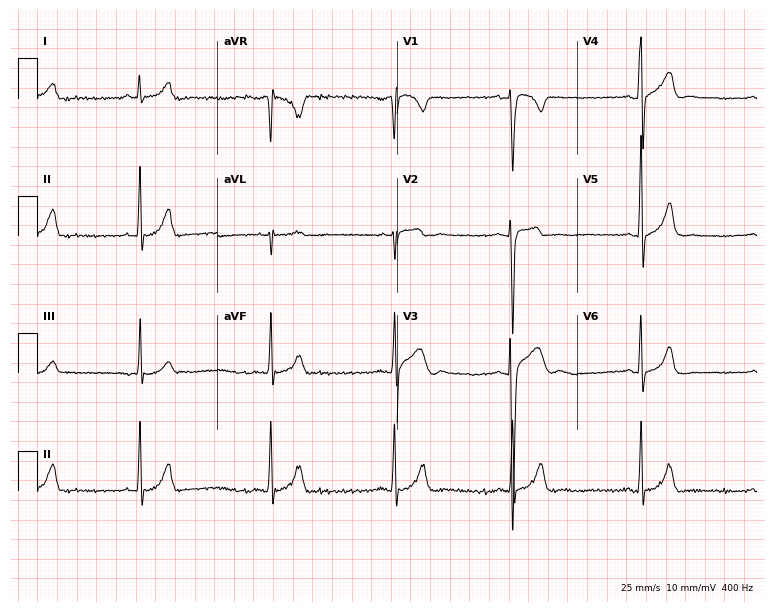
12-lead ECG (7.3-second recording at 400 Hz) from a man, 22 years old. Findings include sinus bradycardia (a sinus rate of 50 beats per minute or less).